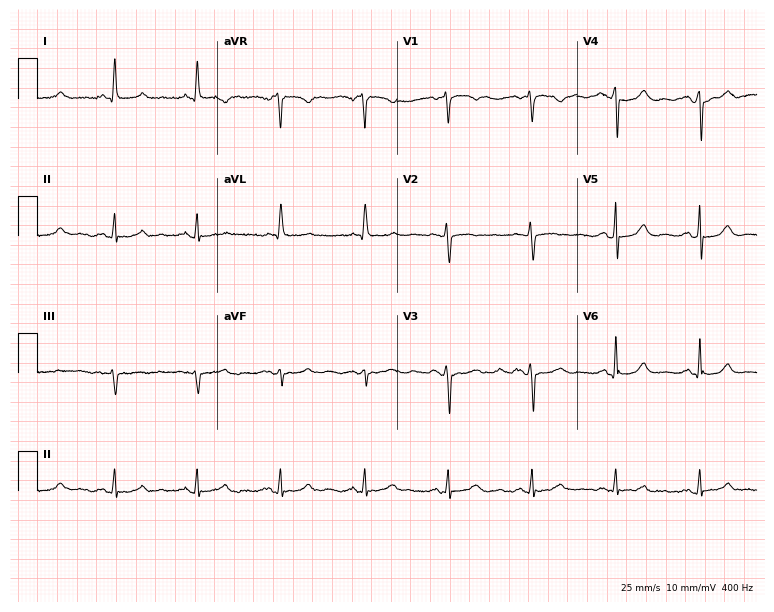
12-lead ECG (7.3-second recording at 400 Hz) from a female, 68 years old. Labelled as a normal ECG.